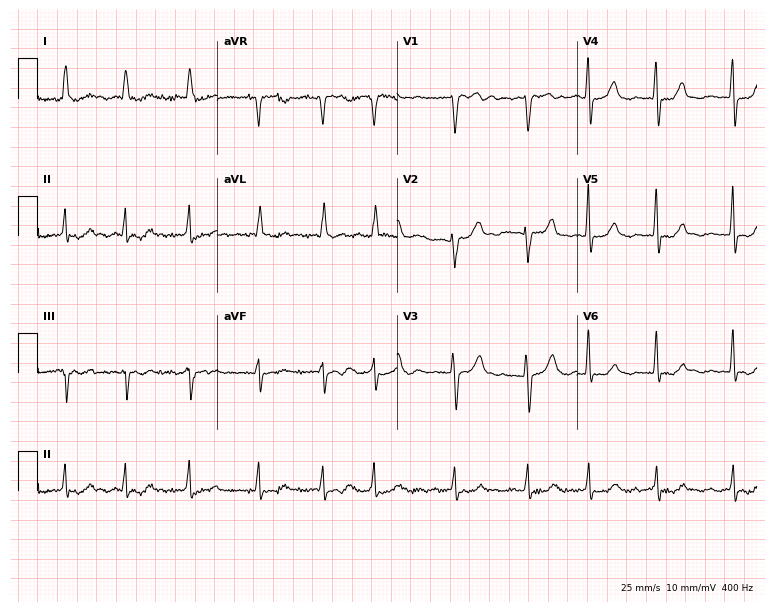
12-lead ECG from a female patient, 63 years old. Findings include atrial fibrillation.